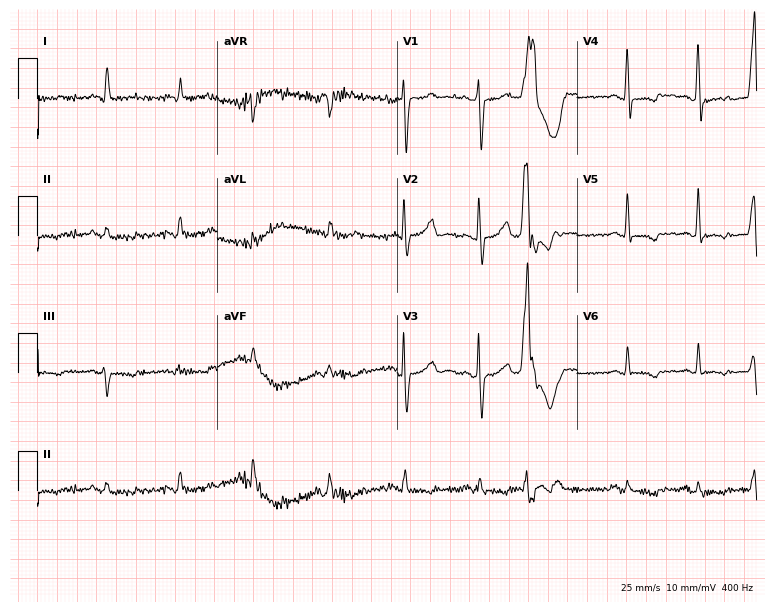
12-lead ECG from a 68-year-old woman (7.3-second recording at 400 Hz). No first-degree AV block, right bundle branch block (RBBB), left bundle branch block (LBBB), sinus bradycardia, atrial fibrillation (AF) or sinus tachycardia recorded for this tracing.